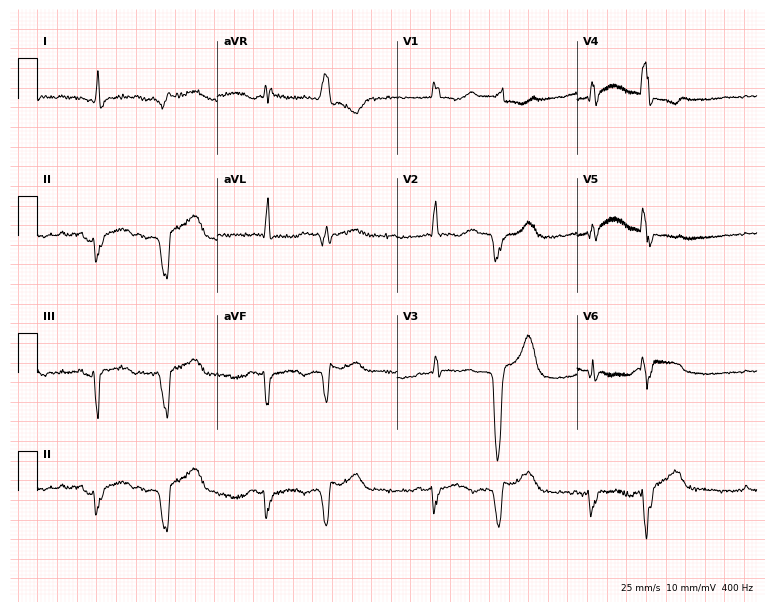
ECG — an 83-year-old female. Findings include right bundle branch block.